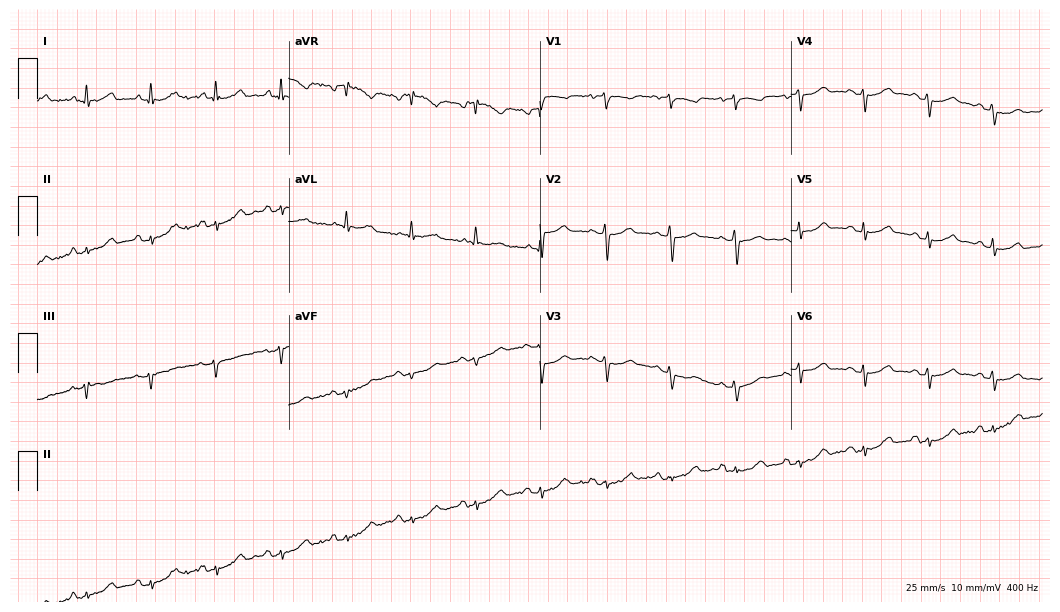
Electrocardiogram (10.2-second recording at 400 Hz), a woman, 71 years old. Overall reading on record: normal ECG.